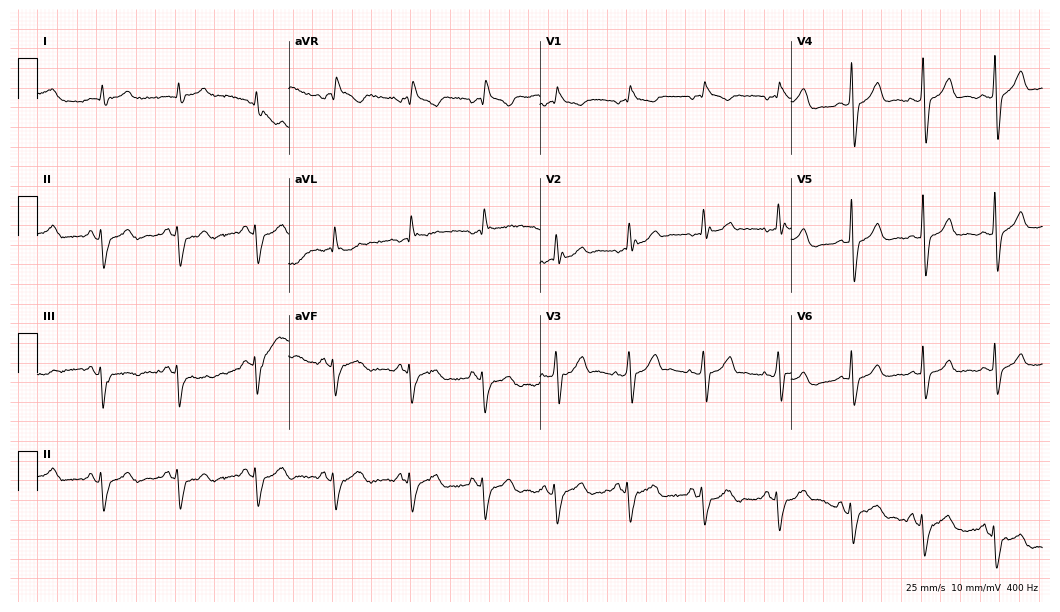
Resting 12-lead electrocardiogram. Patient: a 59-year-old male. None of these six findings is recorded: first-degree AV block, right bundle branch block, left bundle branch block, sinus bradycardia, atrial fibrillation, sinus tachycardia.